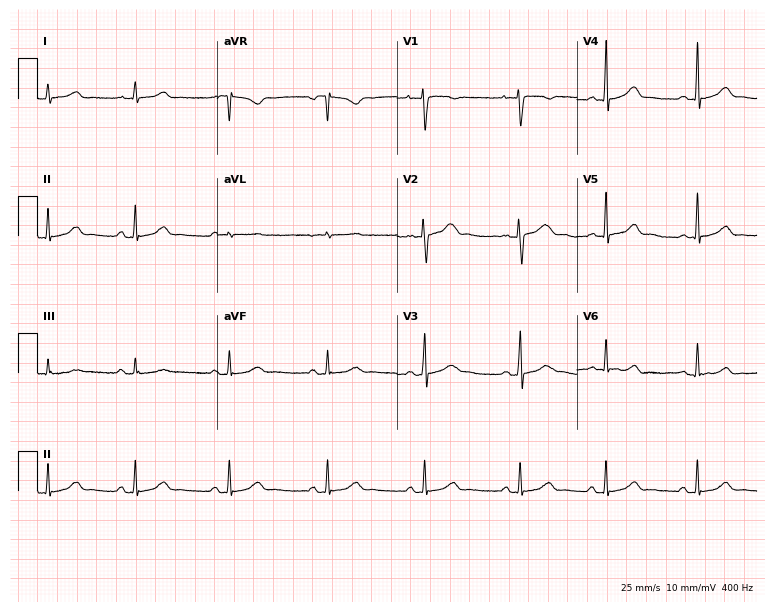
Resting 12-lead electrocardiogram (7.3-second recording at 400 Hz). Patient: a woman, 42 years old. Read as a normal ECG.